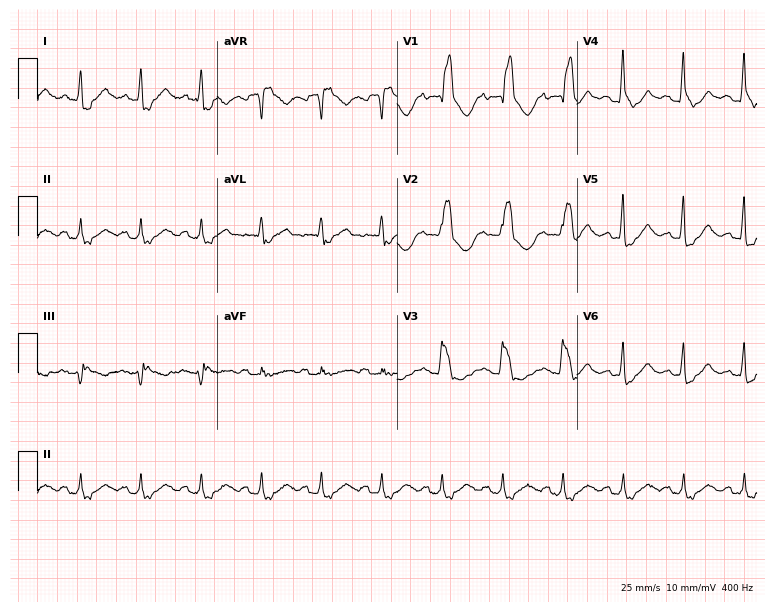
ECG — a female patient, 74 years old. Findings include right bundle branch block.